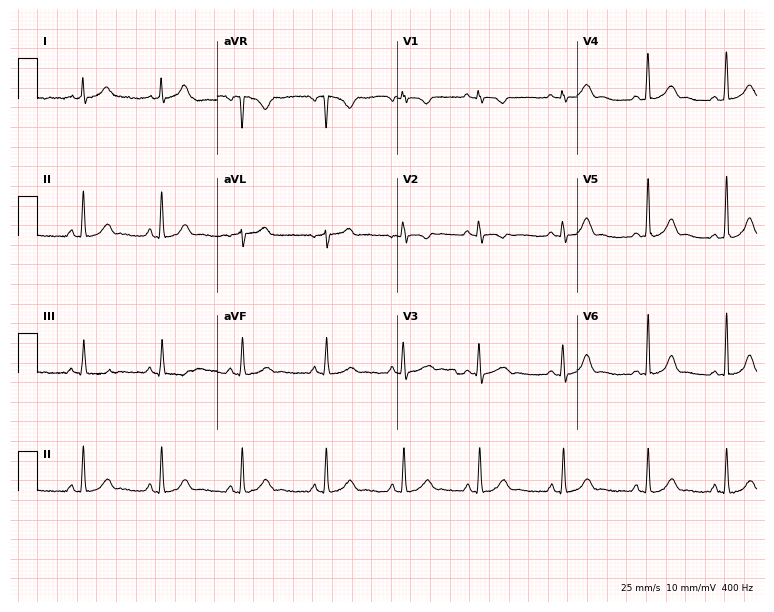
Standard 12-lead ECG recorded from a female patient, 23 years old (7.3-second recording at 400 Hz). Read as a normal ECG.